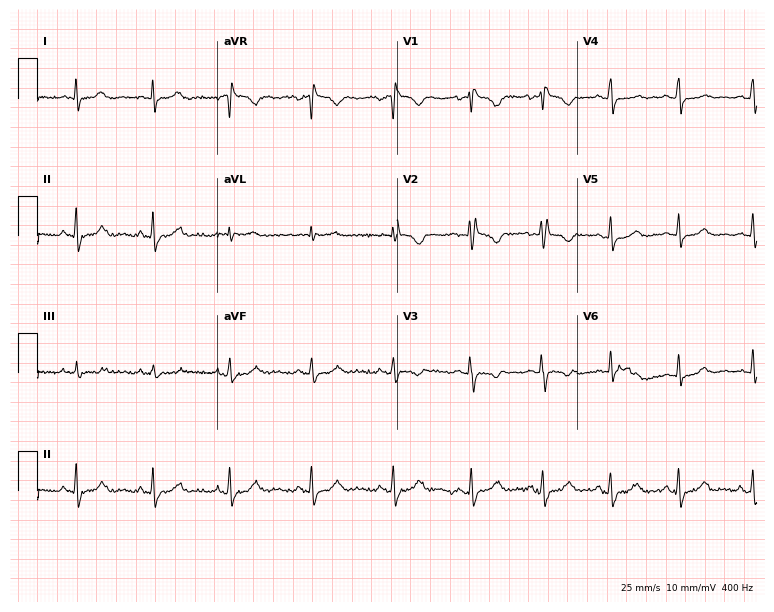
Electrocardiogram (7.3-second recording at 400 Hz), a 22-year-old woman. Of the six screened findings (first-degree AV block, right bundle branch block (RBBB), left bundle branch block (LBBB), sinus bradycardia, atrial fibrillation (AF), sinus tachycardia), none is recorded.